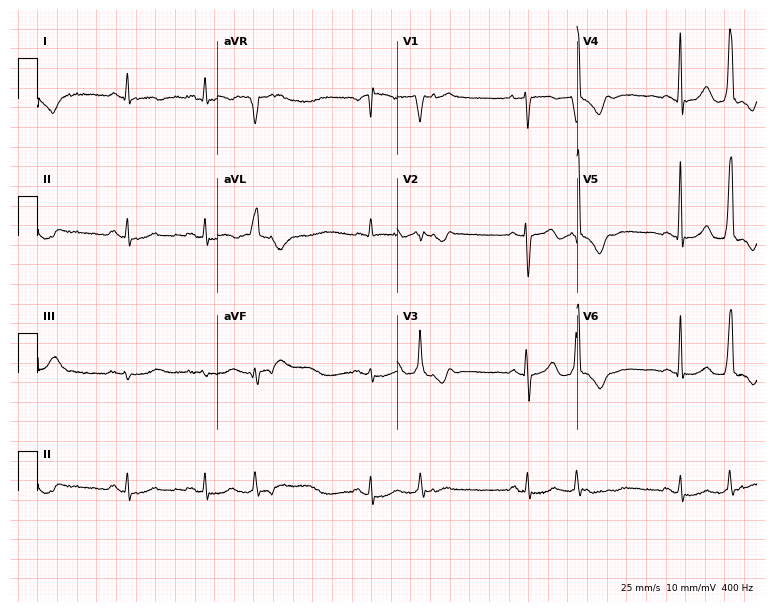
Electrocardiogram (7.3-second recording at 400 Hz), a 73-year-old female. Of the six screened findings (first-degree AV block, right bundle branch block, left bundle branch block, sinus bradycardia, atrial fibrillation, sinus tachycardia), none is recorded. Only these six findings were labelled.